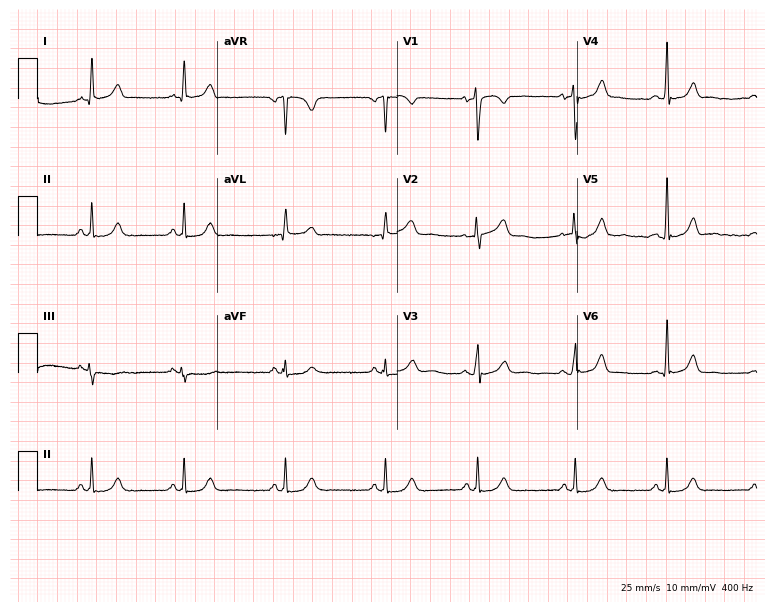
Standard 12-lead ECG recorded from a female, 47 years old. None of these six findings is recorded: first-degree AV block, right bundle branch block (RBBB), left bundle branch block (LBBB), sinus bradycardia, atrial fibrillation (AF), sinus tachycardia. Only these six findings were labelled.